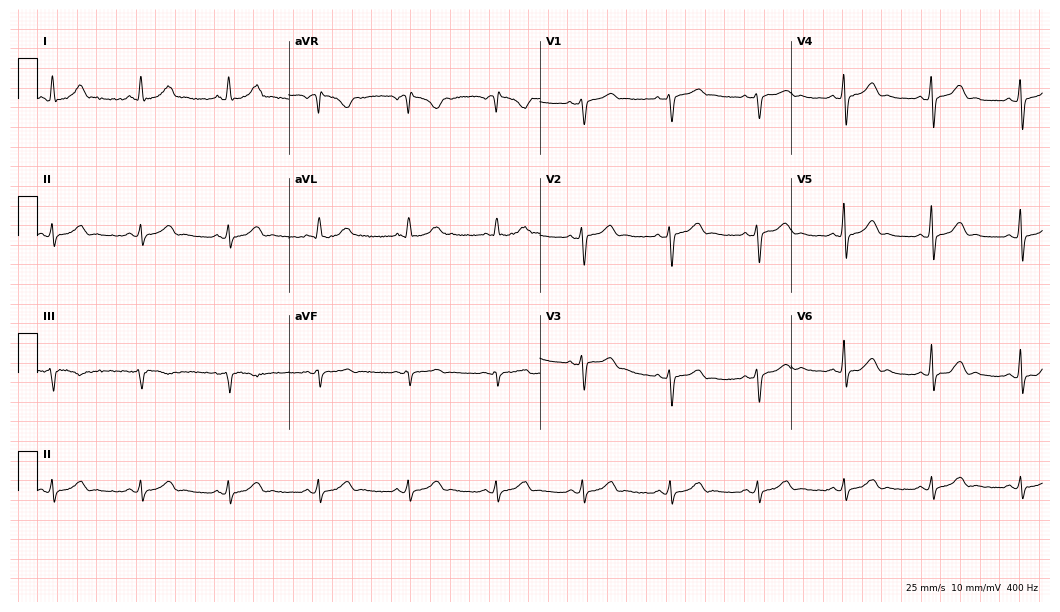
12-lead ECG from a female, 45 years old. Labelled as a normal ECG.